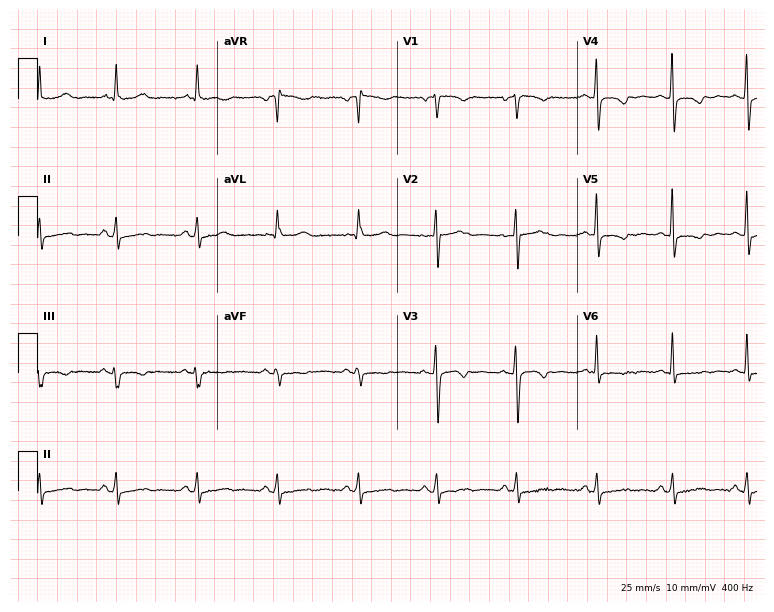
Resting 12-lead electrocardiogram (7.3-second recording at 400 Hz). Patient: a 48-year-old female. None of these six findings is recorded: first-degree AV block, right bundle branch block, left bundle branch block, sinus bradycardia, atrial fibrillation, sinus tachycardia.